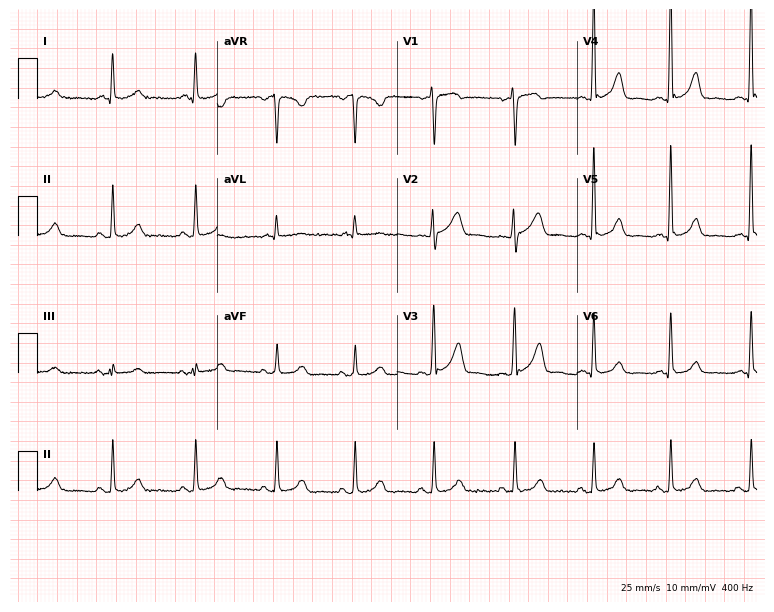
Electrocardiogram (7.3-second recording at 400 Hz), a 60-year-old female patient. Of the six screened findings (first-degree AV block, right bundle branch block, left bundle branch block, sinus bradycardia, atrial fibrillation, sinus tachycardia), none is recorded. Findings outside these six are not listed.